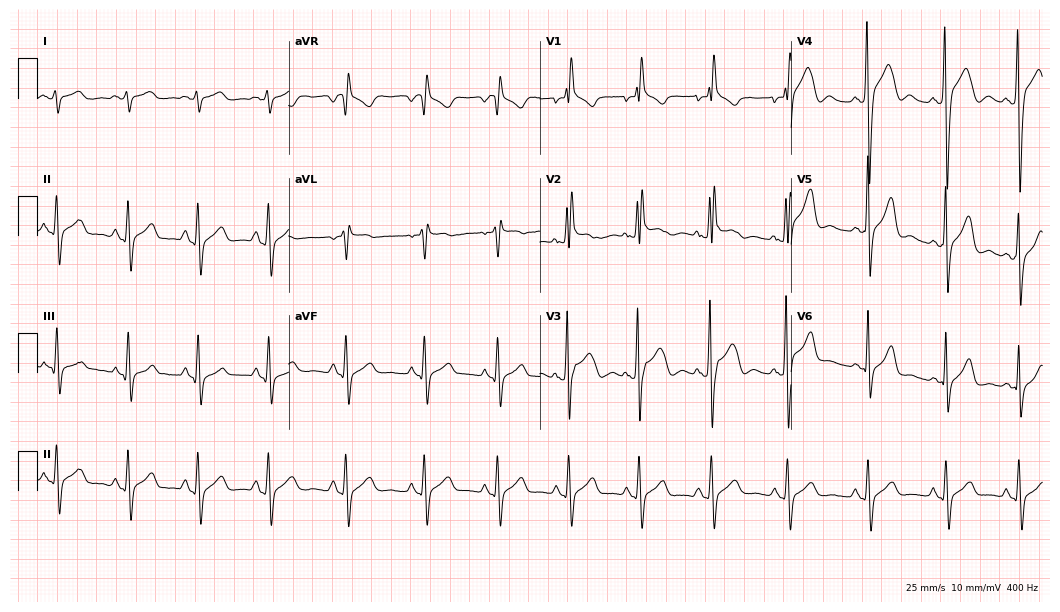
Standard 12-lead ECG recorded from a 23-year-old male (10.2-second recording at 400 Hz). None of these six findings is recorded: first-degree AV block, right bundle branch block (RBBB), left bundle branch block (LBBB), sinus bradycardia, atrial fibrillation (AF), sinus tachycardia. Other findings, if any, are not listed.